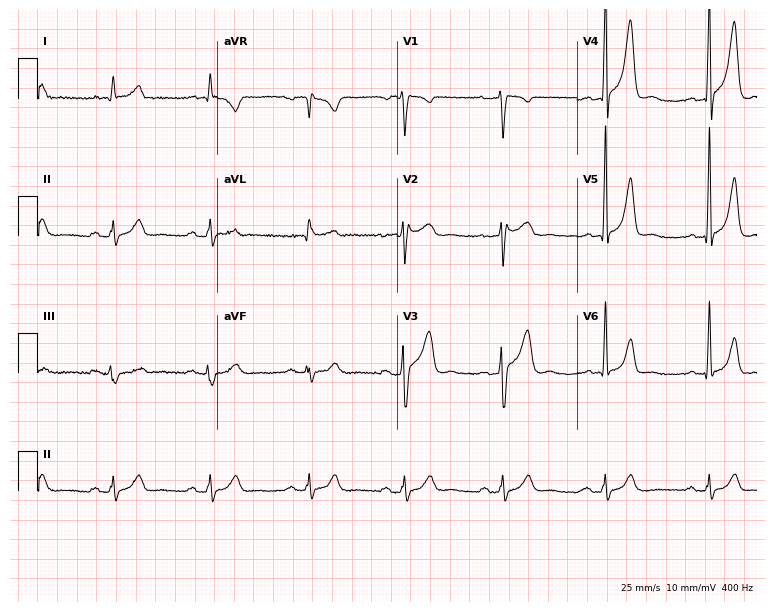
Electrocardiogram (7.3-second recording at 400 Hz), a 34-year-old male patient. Of the six screened findings (first-degree AV block, right bundle branch block, left bundle branch block, sinus bradycardia, atrial fibrillation, sinus tachycardia), none is recorded. Only these six findings were labelled.